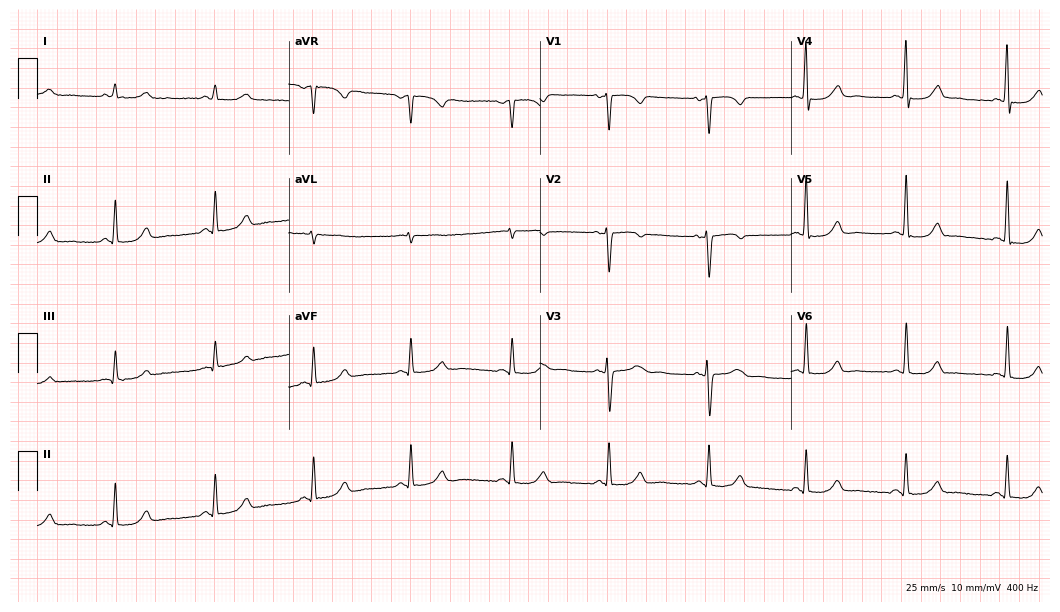
Electrocardiogram (10.2-second recording at 400 Hz), a 51-year-old female. Of the six screened findings (first-degree AV block, right bundle branch block, left bundle branch block, sinus bradycardia, atrial fibrillation, sinus tachycardia), none is recorded.